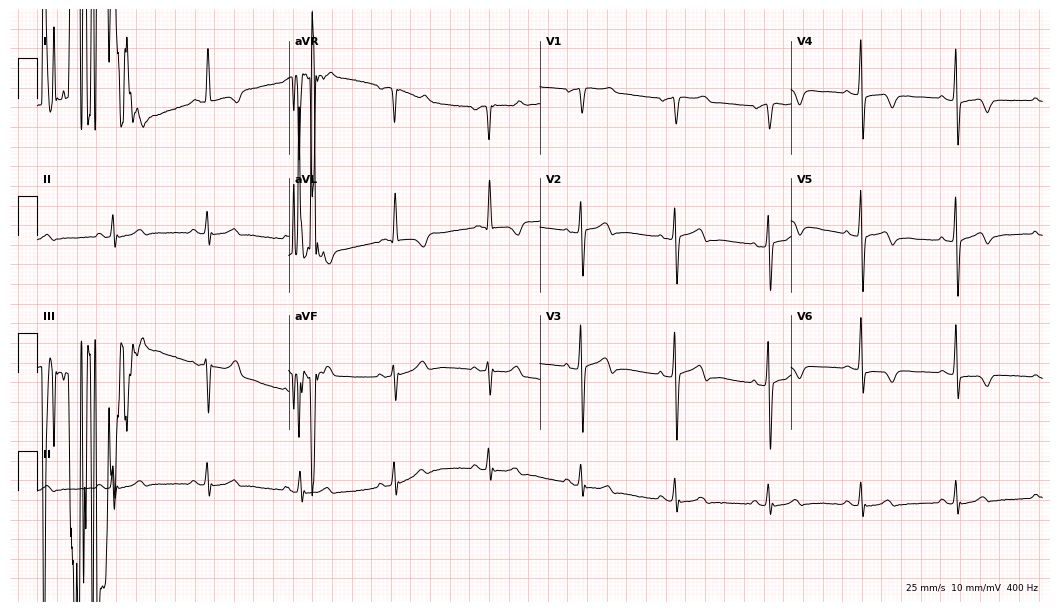
ECG (10.2-second recording at 400 Hz) — a female patient, 83 years old. Screened for six findings — first-degree AV block, right bundle branch block, left bundle branch block, sinus bradycardia, atrial fibrillation, sinus tachycardia — none is recorded.